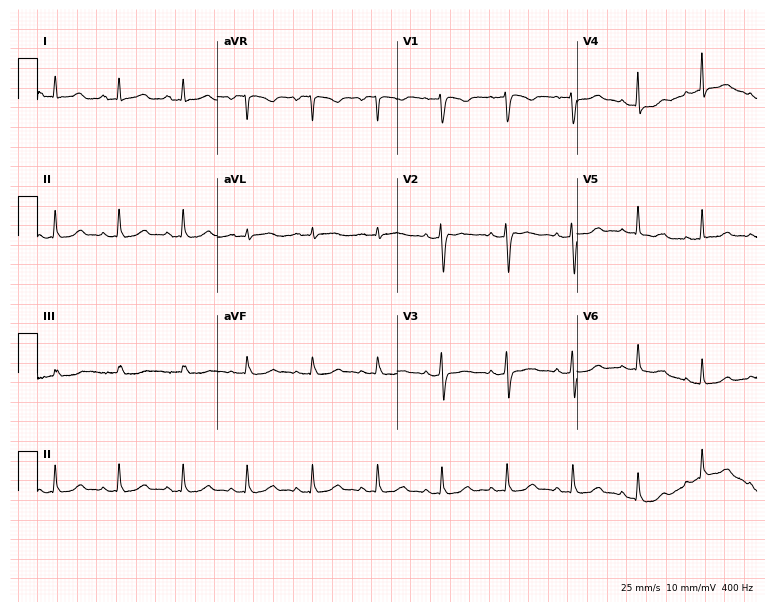
12-lead ECG from a 56-year-old female (7.3-second recording at 400 Hz). No first-degree AV block, right bundle branch block (RBBB), left bundle branch block (LBBB), sinus bradycardia, atrial fibrillation (AF) or sinus tachycardia recorded for this tracing.